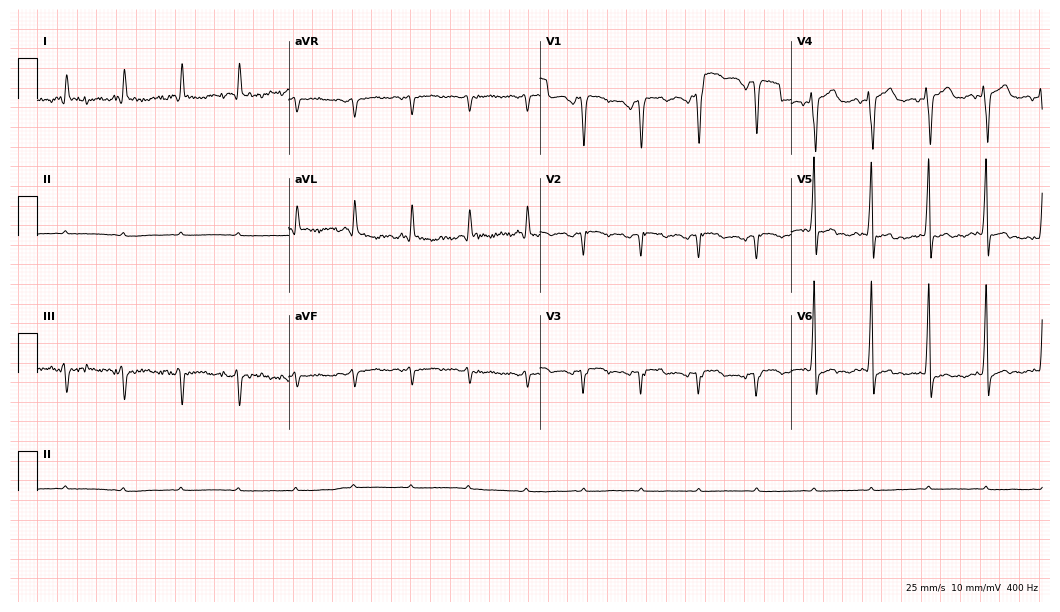
12-lead ECG (10.2-second recording at 400 Hz) from a man, 83 years old. Screened for six findings — first-degree AV block, right bundle branch block, left bundle branch block, sinus bradycardia, atrial fibrillation, sinus tachycardia — none is recorded. Other findings, if any, are not listed.